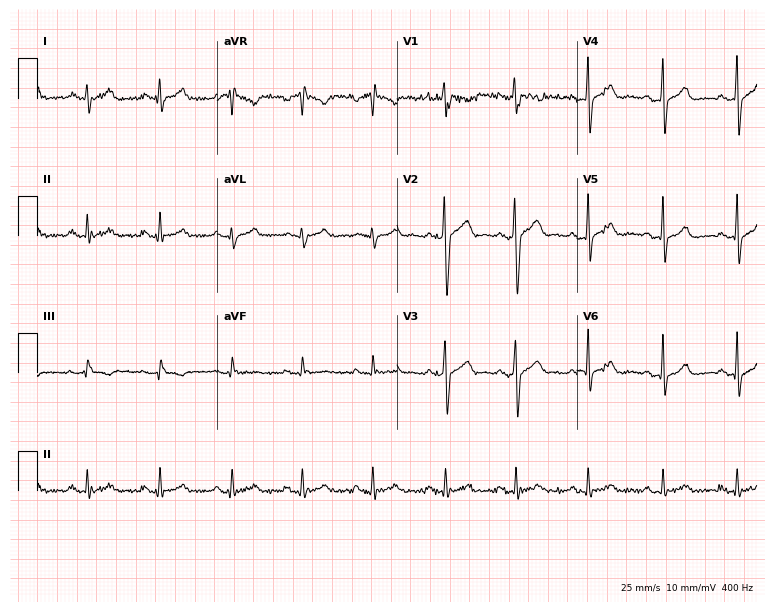
Standard 12-lead ECG recorded from a 21-year-old male patient (7.3-second recording at 400 Hz). Read as a normal ECG.